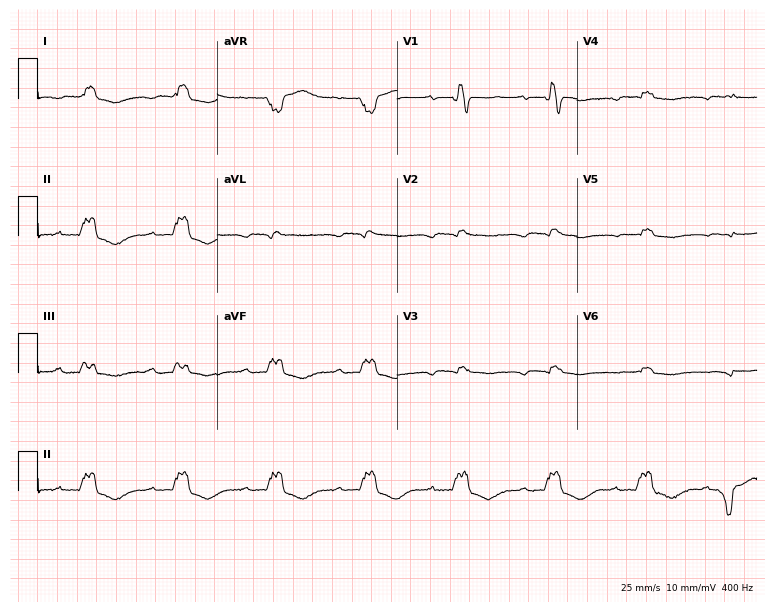
Electrocardiogram, a 54-year-old man. Interpretation includes first-degree AV block.